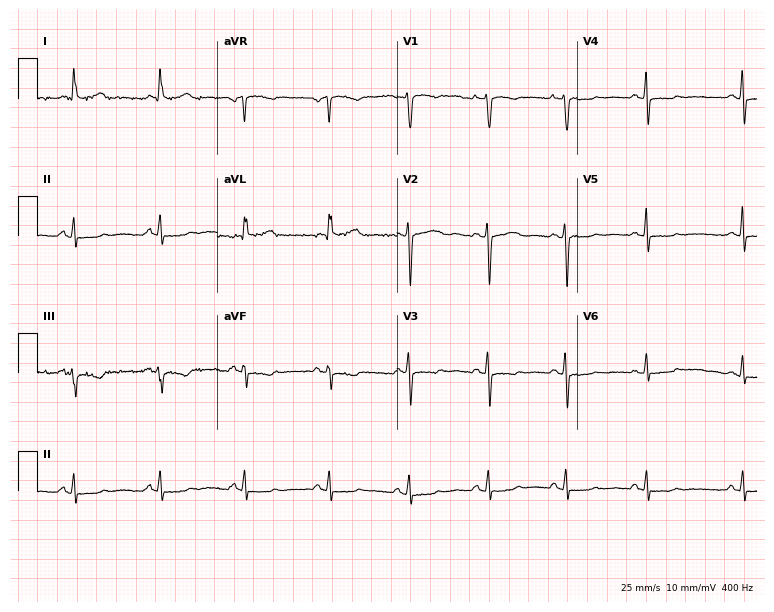
ECG — a 67-year-old woman. Screened for six findings — first-degree AV block, right bundle branch block, left bundle branch block, sinus bradycardia, atrial fibrillation, sinus tachycardia — none is recorded. Findings outside these six are not listed.